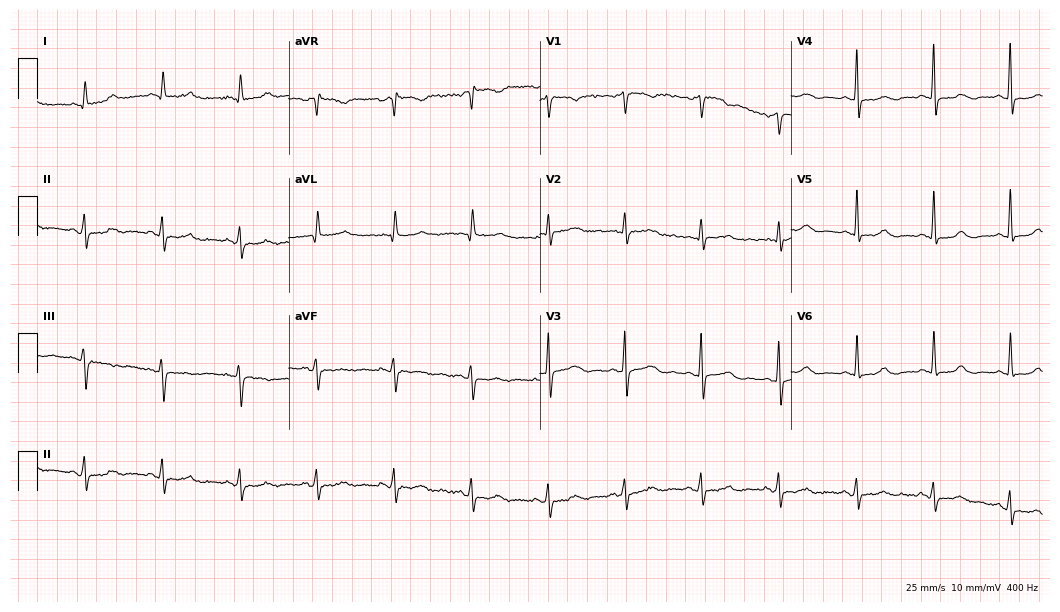
Resting 12-lead electrocardiogram. Patient: a female, 76 years old. Read as a normal ECG.